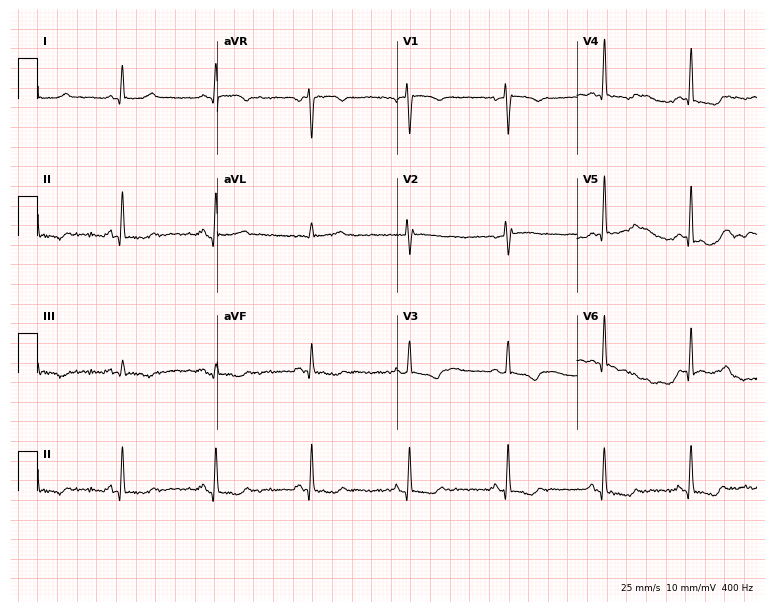
Electrocardiogram, a female, 48 years old. Of the six screened findings (first-degree AV block, right bundle branch block, left bundle branch block, sinus bradycardia, atrial fibrillation, sinus tachycardia), none is recorded. Other findings, if any, are not listed.